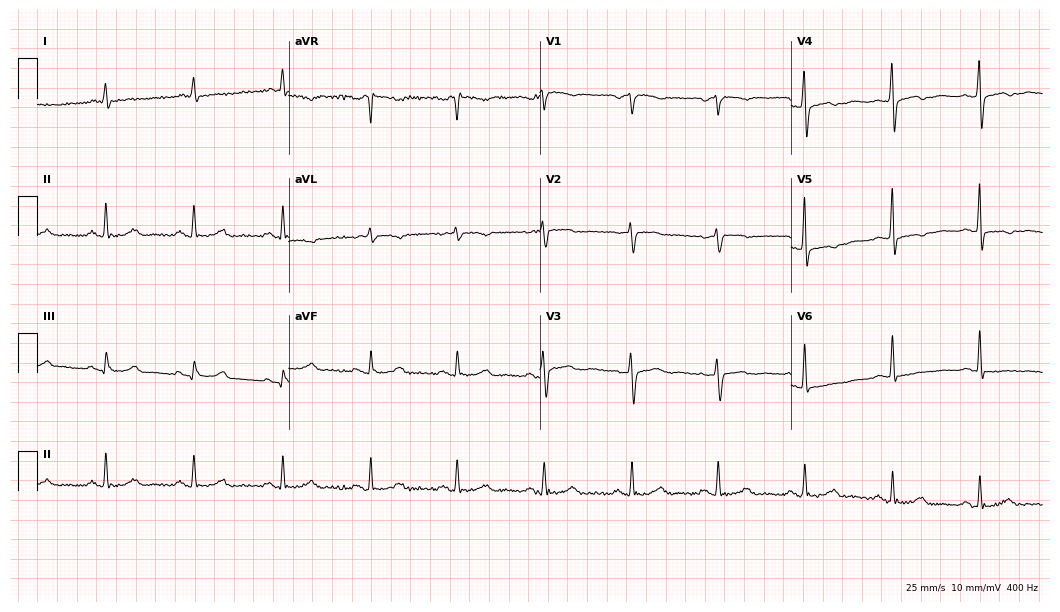
Electrocardiogram, a 72-year-old woman. Of the six screened findings (first-degree AV block, right bundle branch block (RBBB), left bundle branch block (LBBB), sinus bradycardia, atrial fibrillation (AF), sinus tachycardia), none is recorded.